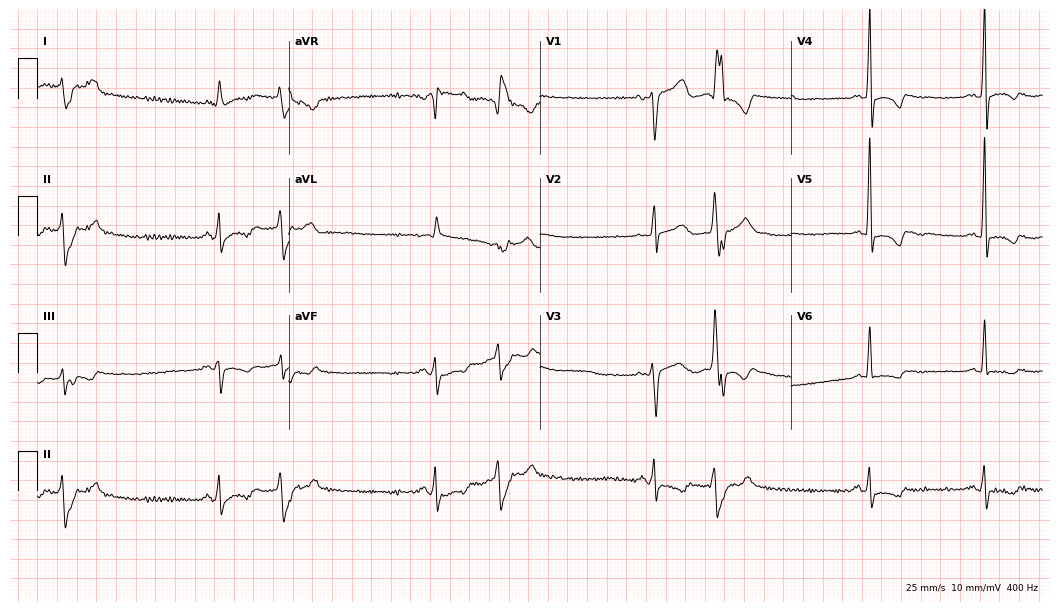
ECG — a man, 83 years old. Labelled as a normal ECG.